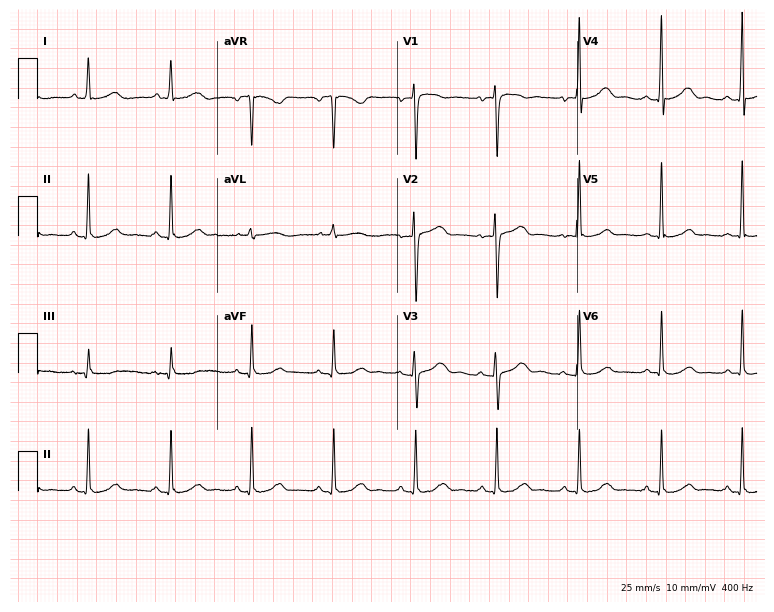
Resting 12-lead electrocardiogram. Patient: a female, 84 years old. Read as a normal ECG.